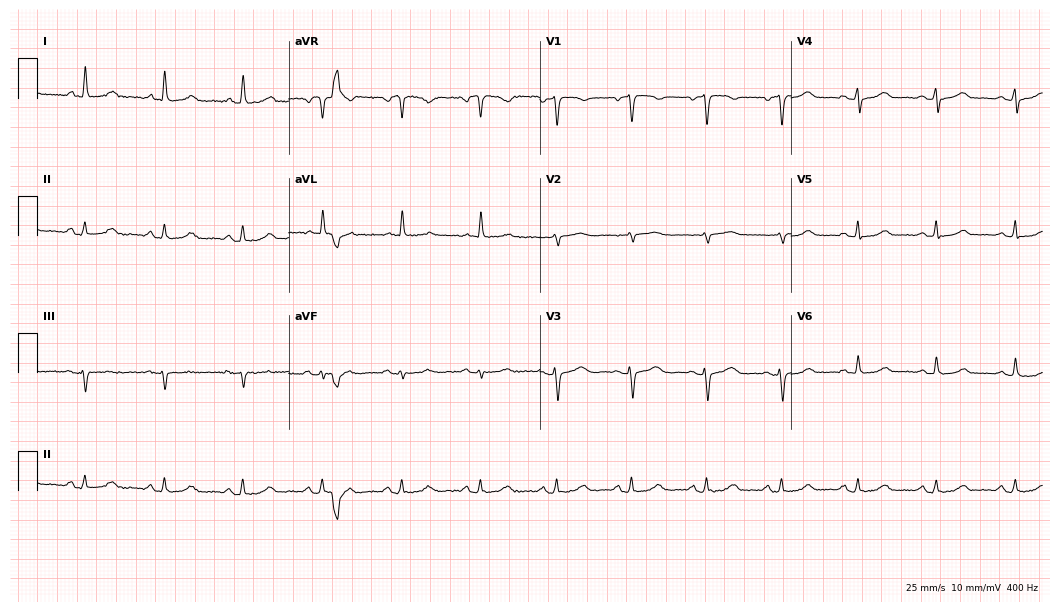
12-lead ECG (10.2-second recording at 400 Hz) from a female, 50 years old. Labelled as a normal ECG.